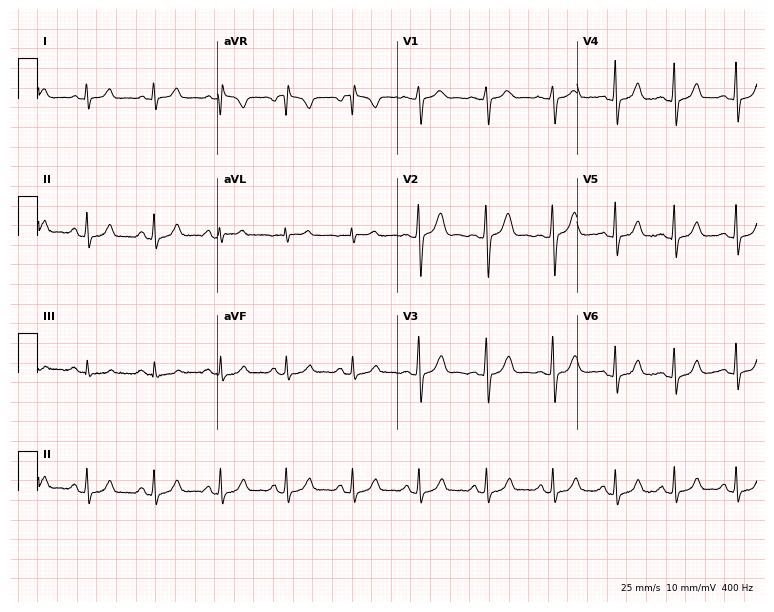
ECG — a female, 26 years old. Labelled as a normal ECG.